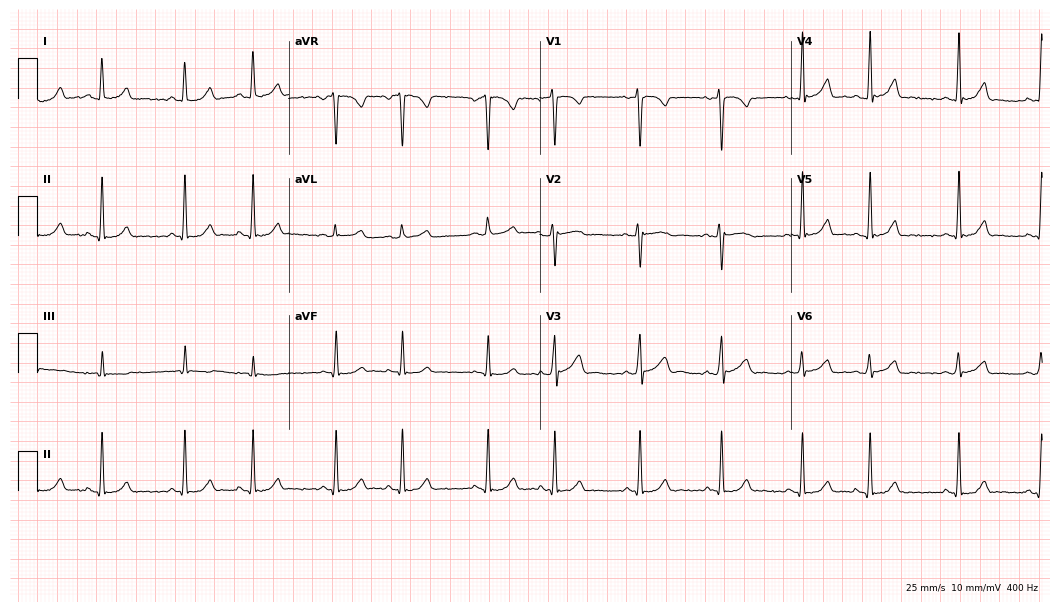
12-lead ECG (10.2-second recording at 400 Hz) from a woman, 23 years old. Labelled as a normal ECG.